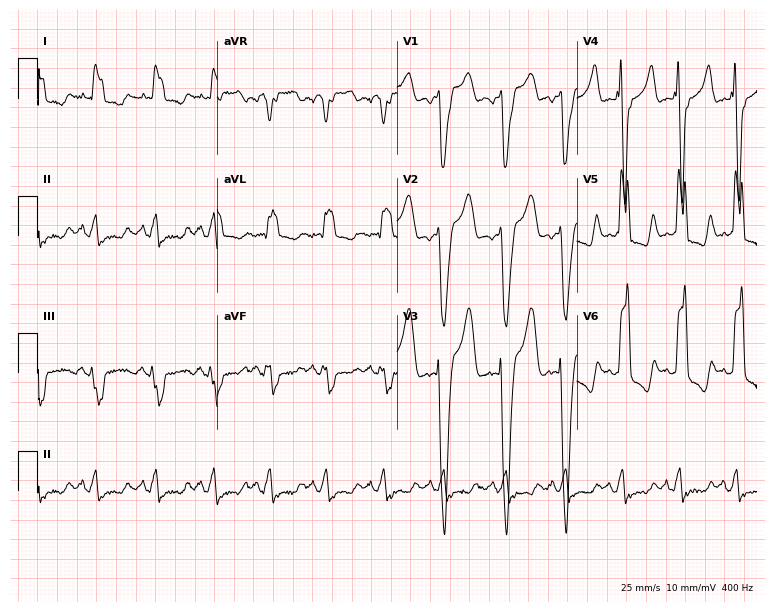
Standard 12-lead ECG recorded from a woman, 74 years old (7.3-second recording at 400 Hz). The tracing shows left bundle branch block (LBBB).